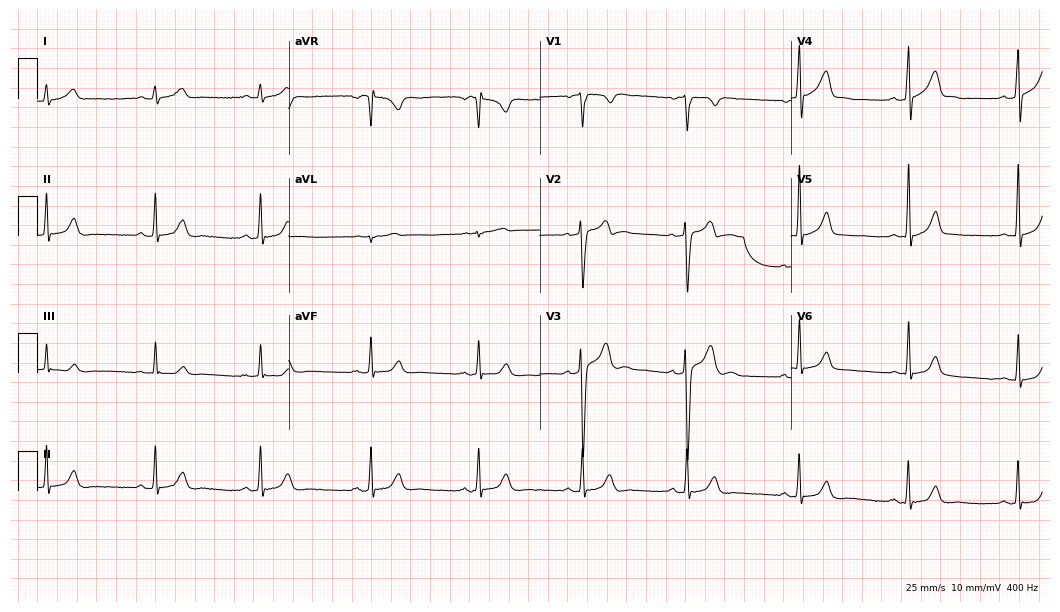
Electrocardiogram (10.2-second recording at 400 Hz), a 32-year-old male. Overall reading on record: normal ECG.